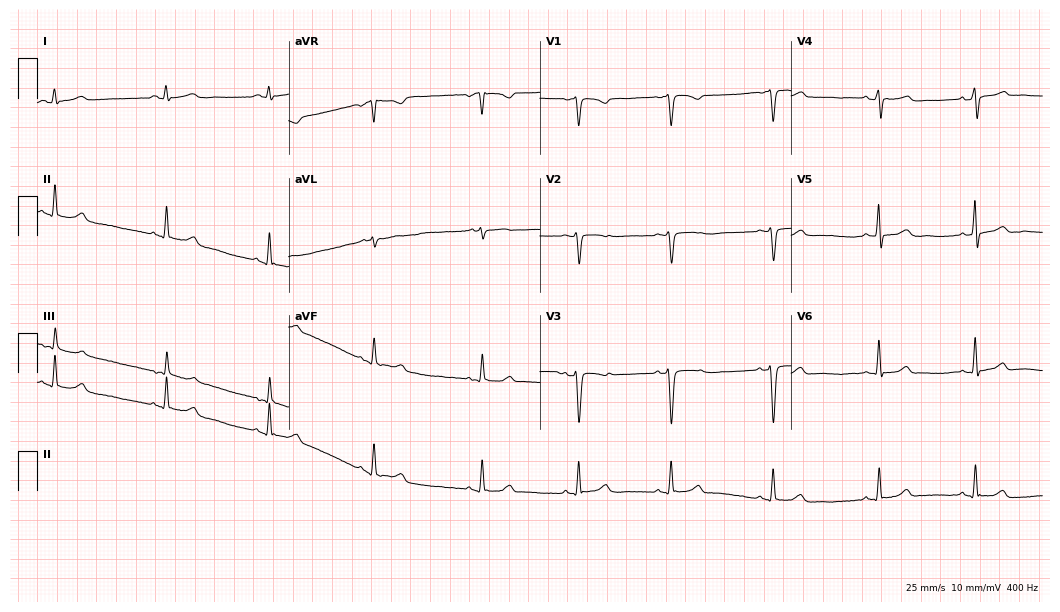
Electrocardiogram (10.2-second recording at 400 Hz), a woman, 38 years old. Of the six screened findings (first-degree AV block, right bundle branch block, left bundle branch block, sinus bradycardia, atrial fibrillation, sinus tachycardia), none is recorded.